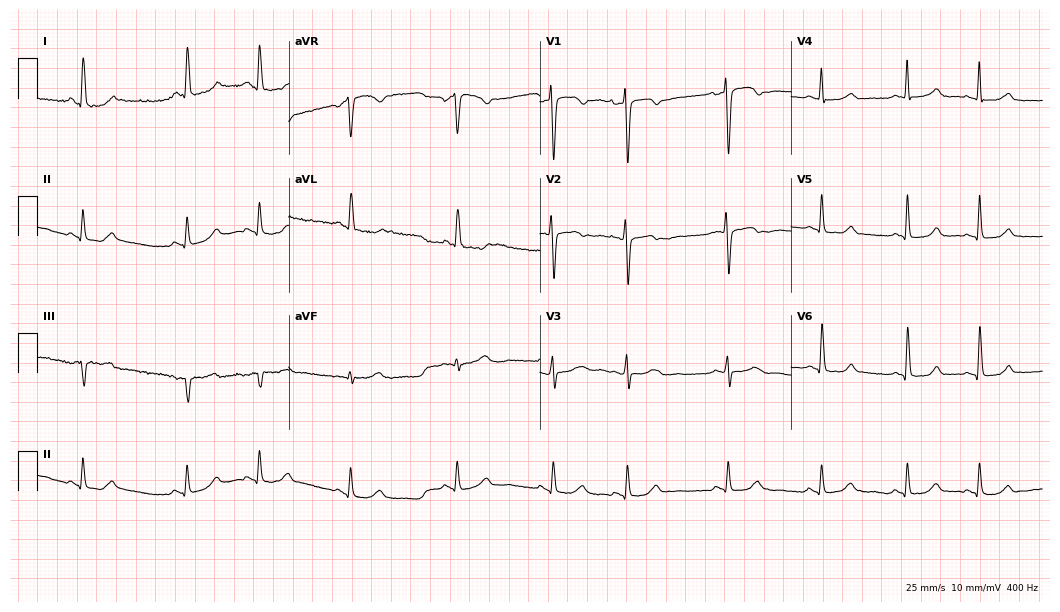
12-lead ECG from a 56-year-old female. Screened for six findings — first-degree AV block, right bundle branch block, left bundle branch block, sinus bradycardia, atrial fibrillation, sinus tachycardia — none is recorded.